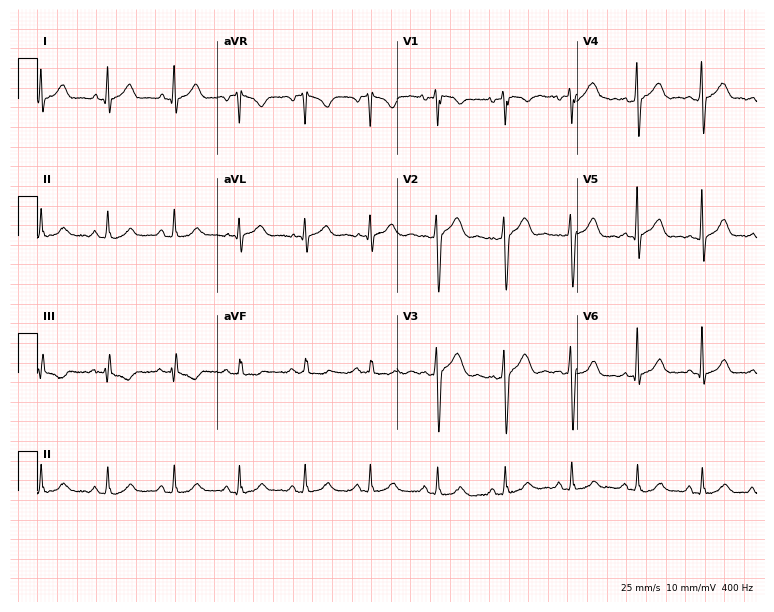
12-lead ECG (7.3-second recording at 400 Hz) from a male patient, 31 years old. Labelled as a normal ECG.